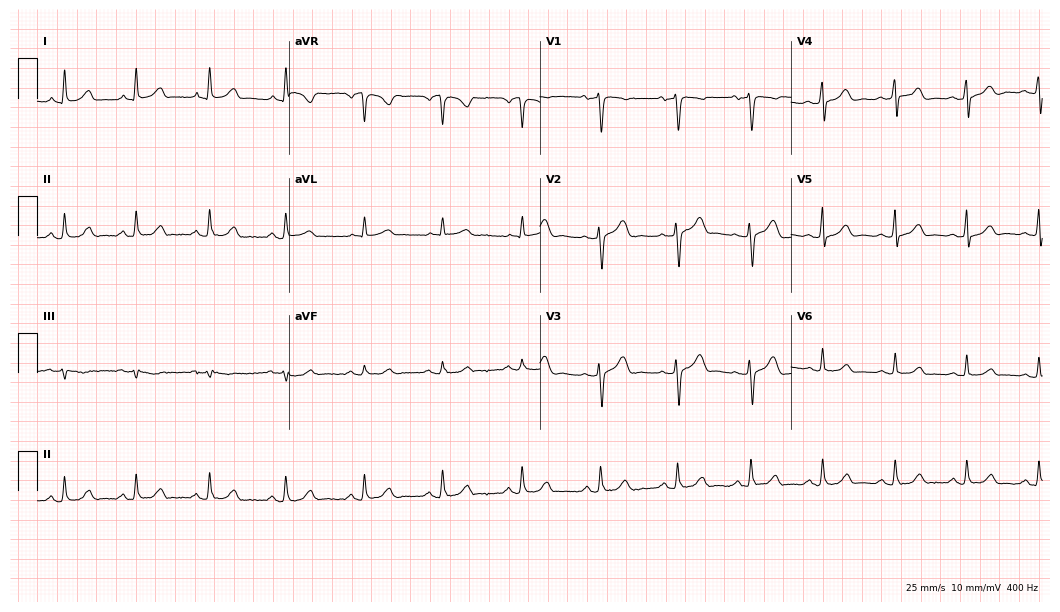
Standard 12-lead ECG recorded from a 49-year-old woman (10.2-second recording at 400 Hz). None of these six findings is recorded: first-degree AV block, right bundle branch block (RBBB), left bundle branch block (LBBB), sinus bradycardia, atrial fibrillation (AF), sinus tachycardia. Only these six findings were labelled.